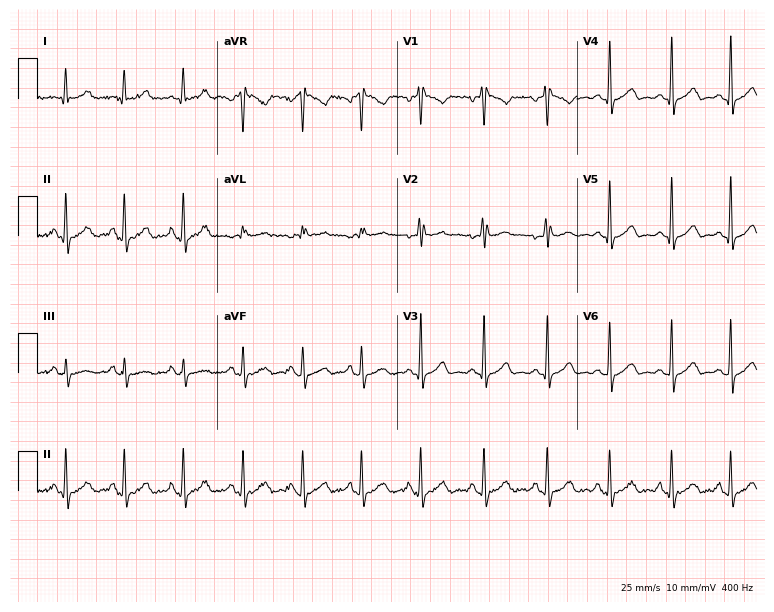
Standard 12-lead ECG recorded from a female patient, 32 years old (7.3-second recording at 400 Hz). None of these six findings is recorded: first-degree AV block, right bundle branch block, left bundle branch block, sinus bradycardia, atrial fibrillation, sinus tachycardia. Only these six findings were labelled.